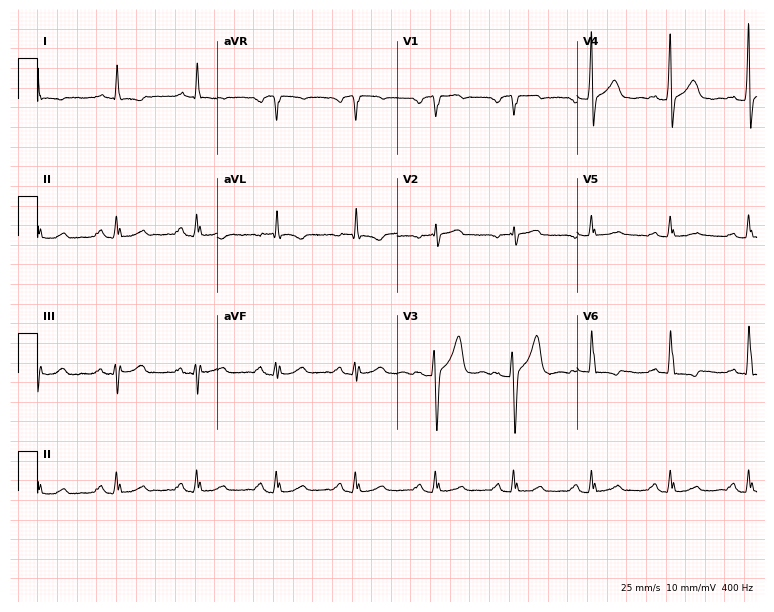
12-lead ECG from a 64-year-old male. No first-degree AV block, right bundle branch block (RBBB), left bundle branch block (LBBB), sinus bradycardia, atrial fibrillation (AF) or sinus tachycardia recorded for this tracing. Findings outside these six are not listed.